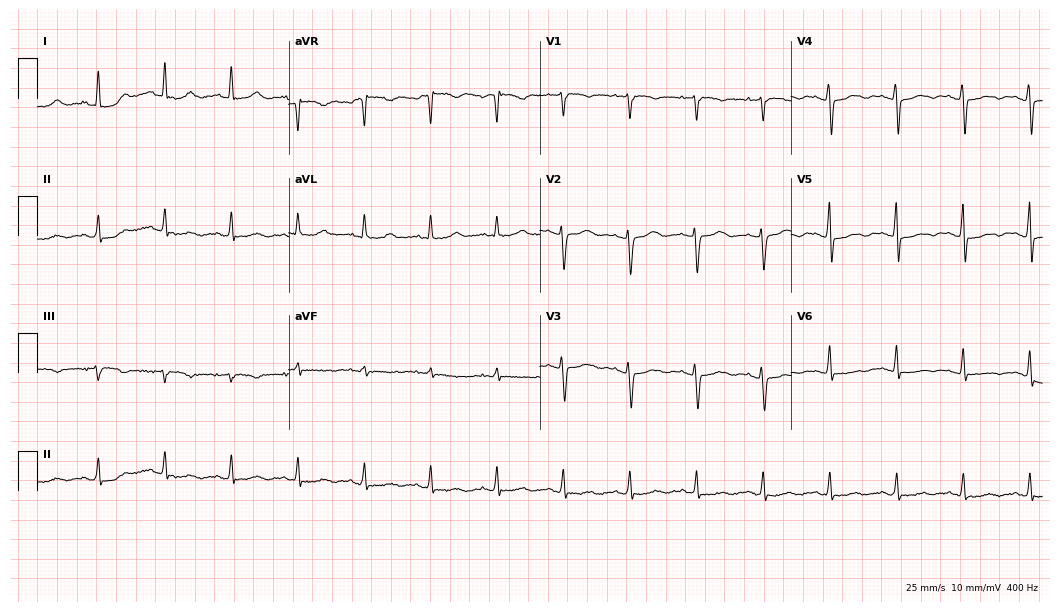
12-lead ECG from a 69-year-old female patient. Recorded interpretation: within normal limits.